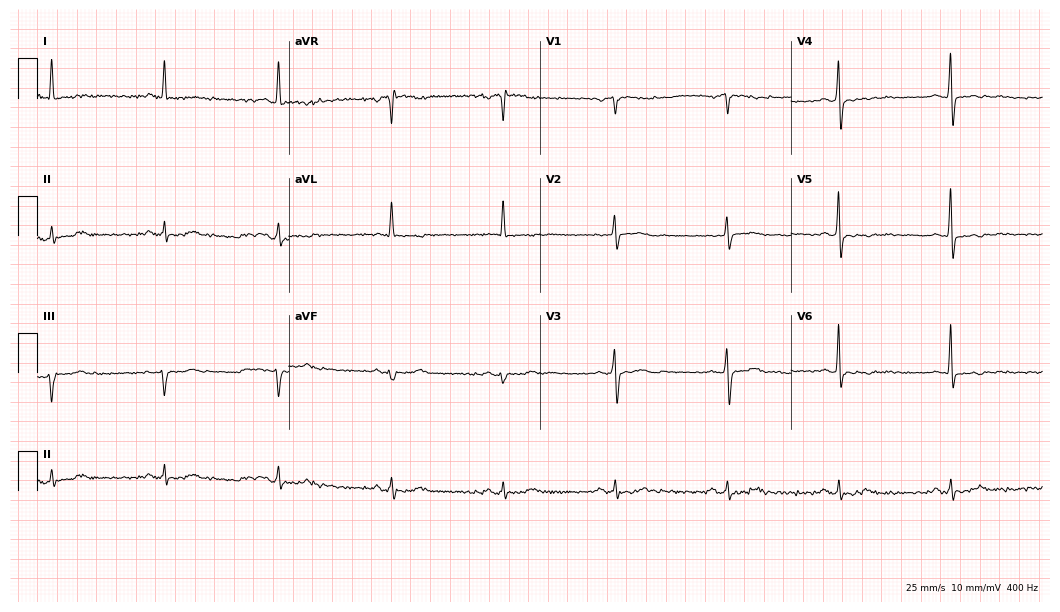
12-lead ECG from a man, 68 years old. Labelled as a normal ECG.